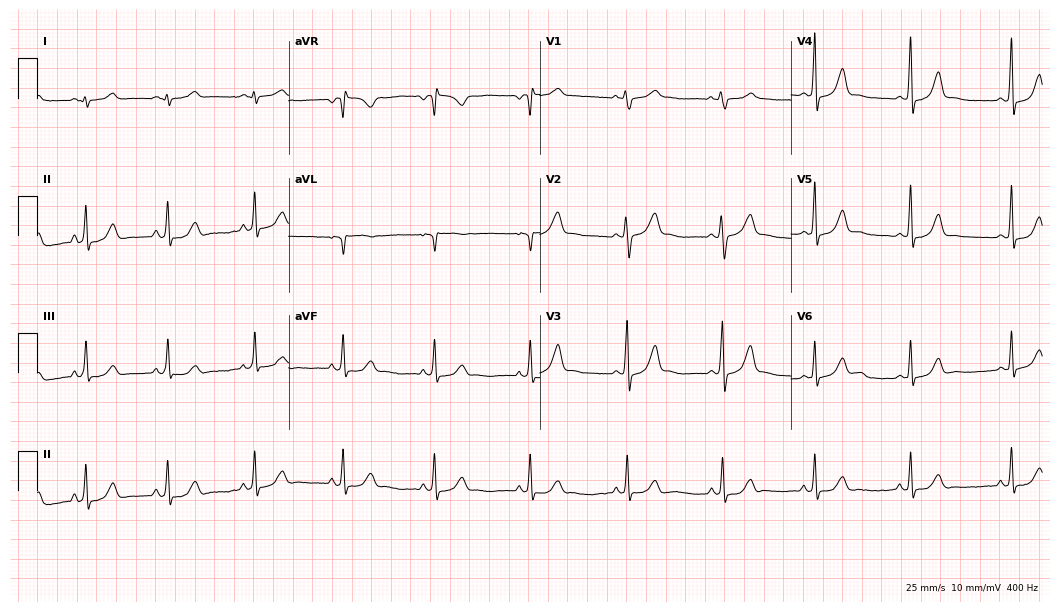
ECG (10.2-second recording at 400 Hz) — a female patient, 41 years old. Labelled as a normal ECG.